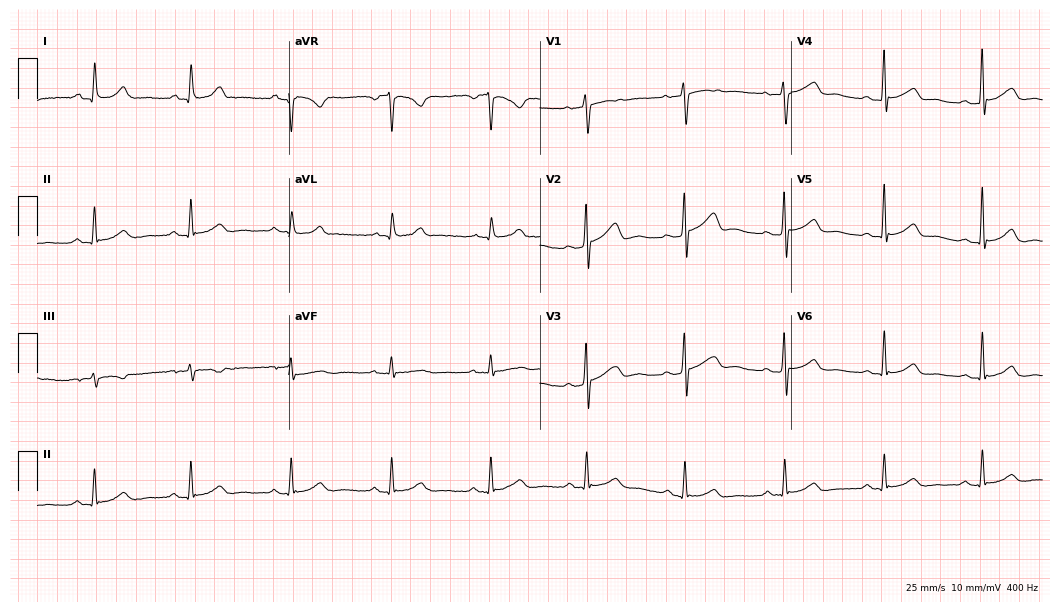
Resting 12-lead electrocardiogram. Patient: an 82-year-old female. Read as a normal ECG.